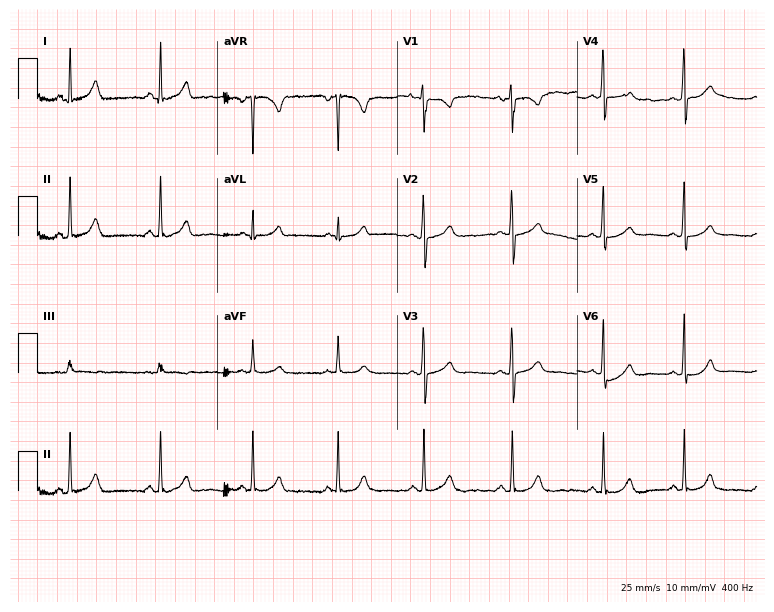
ECG (7.3-second recording at 400 Hz) — a woman, 24 years old. Screened for six findings — first-degree AV block, right bundle branch block (RBBB), left bundle branch block (LBBB), sinus bradycardia, atrial fibrillation (AF), sinus tachycardia — none is recorded.